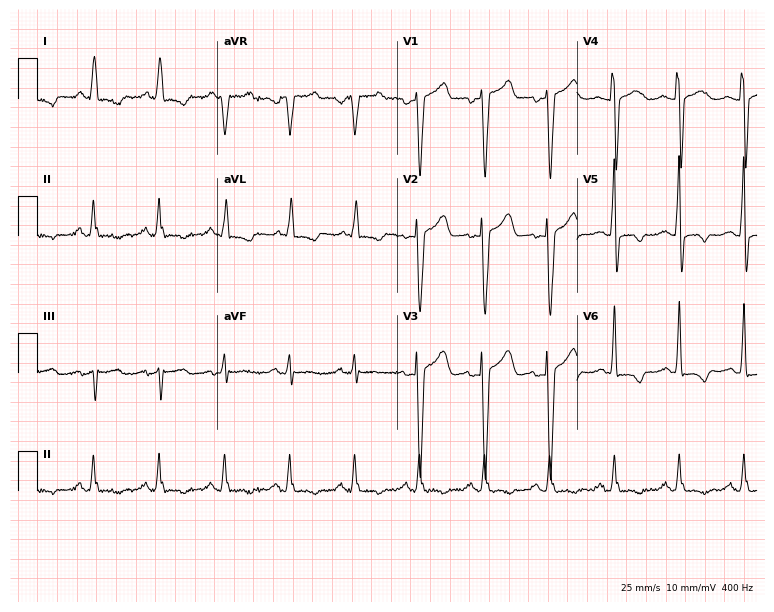
Standard 12-lead ECG recorded from a 35-year-old female. None of these six findings is recorded: first-degree AV block, right bundle branch block, left bundle branch block, sinus bradycardia, atrial fibrillation, sinus tachycardia.